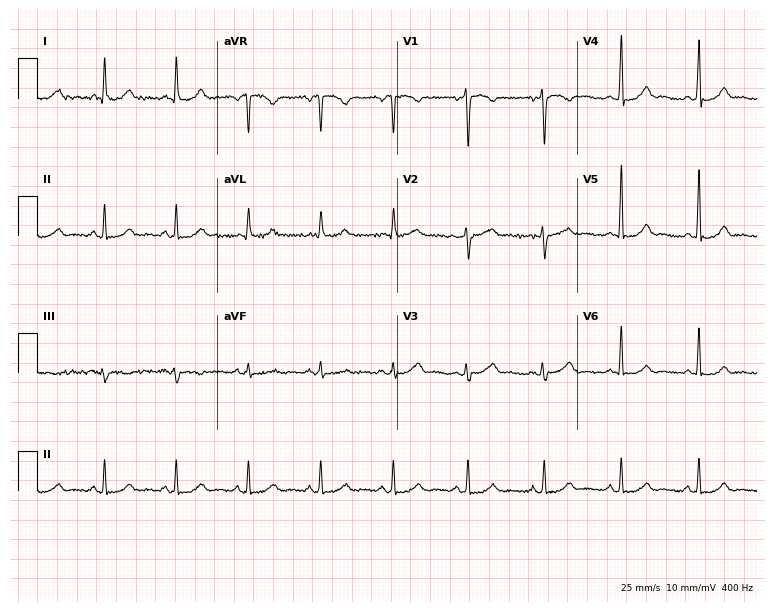
Electrocardiogram, a 40-year-old woman. Of the six screened findings (first-degree AV block, right bundle branch block (RBBB), left bundle branch block (LBBB), sinus bradycardia, atrial fibrillation (AF), sinus tachycardia), none is recorded.